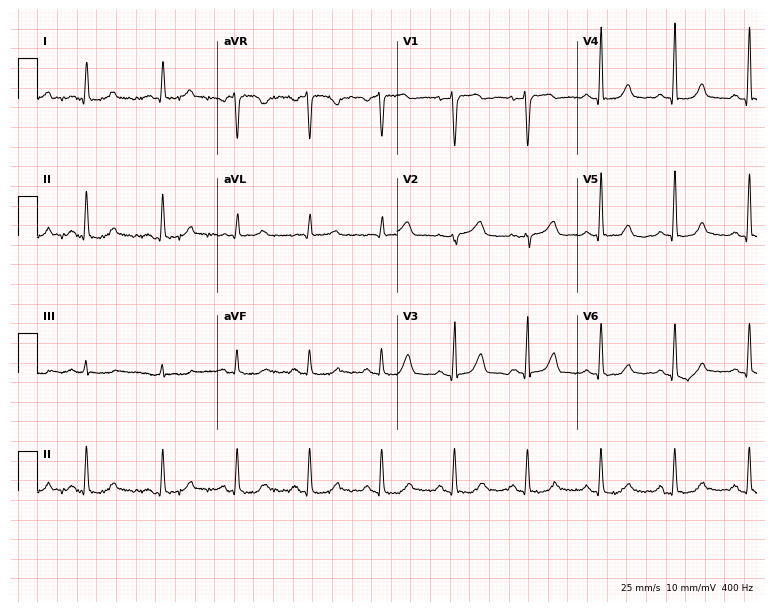
Standard 12-lead ECG recorded from a woman, 48 years old (7.3-second recording at 400 Hz). None of these six findings is recorded: first-degree AV block, right bundle branch block, left bundle branch block, sinus bradycardia, atrial fibrillation, sinus tachycardia.